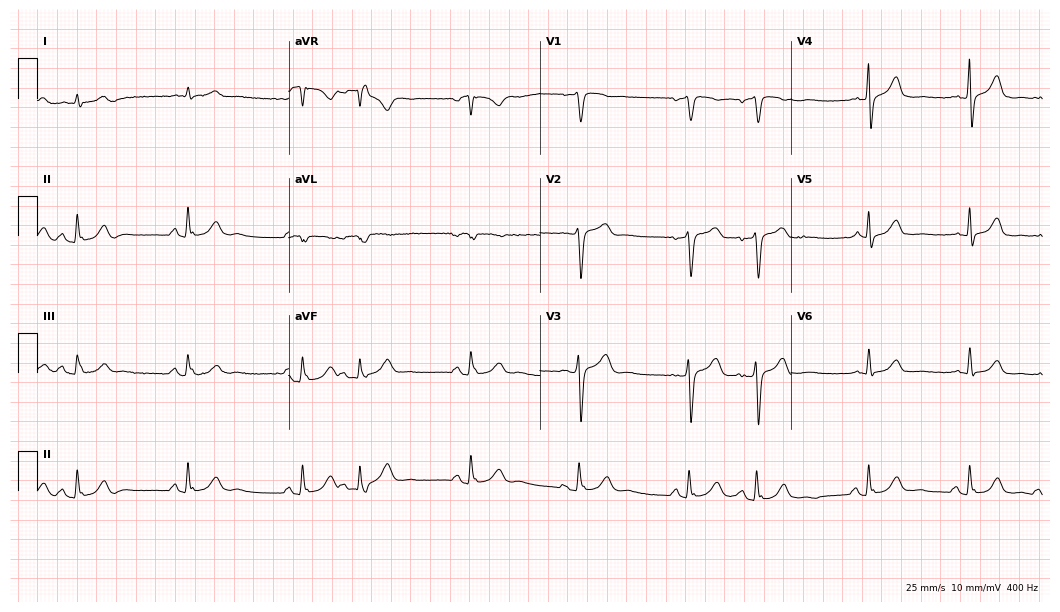
Standard 12-lead ECG recorded from a man, 71 years old (10.2-second recording at 400 Hz). None of these six findings is recorded: first-degree AV block, right bundle branch block (RBBB), left bundle branch block (LBBB), sinus bradycardia, atrial fibrillation (AF), sinus tachycardia. Findings outside these six are not listed.